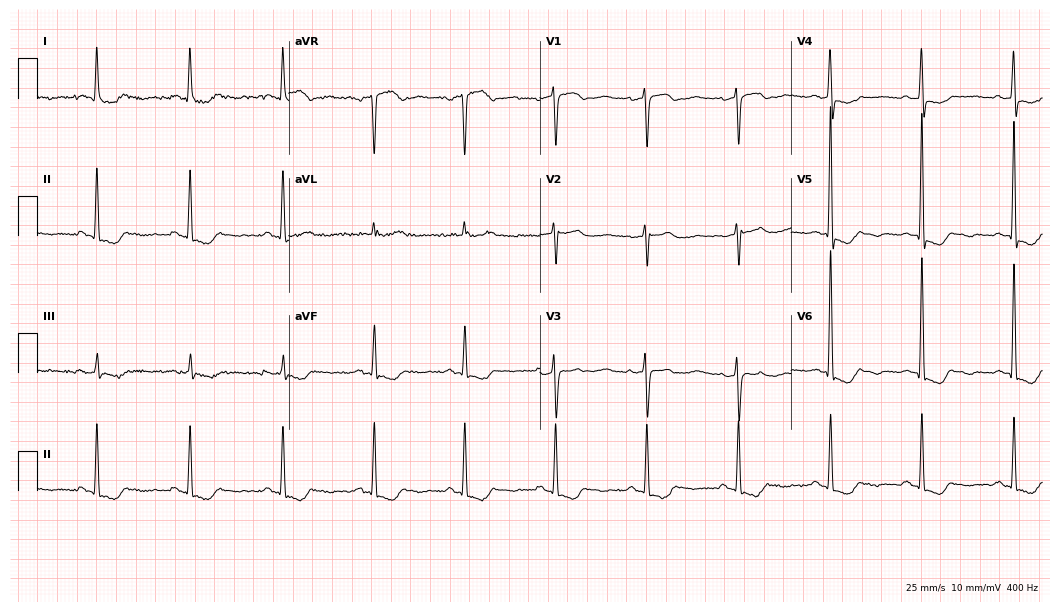
Electrocardiogram (10.2-second recording at 400 Hz), a 70-year-old female. Of the six screened findings (first-degree AV block, right bundle branch block, left bundle branch block, sinus bradycardia, atrial fibrillation, sinus tachycardia), none is recorded.